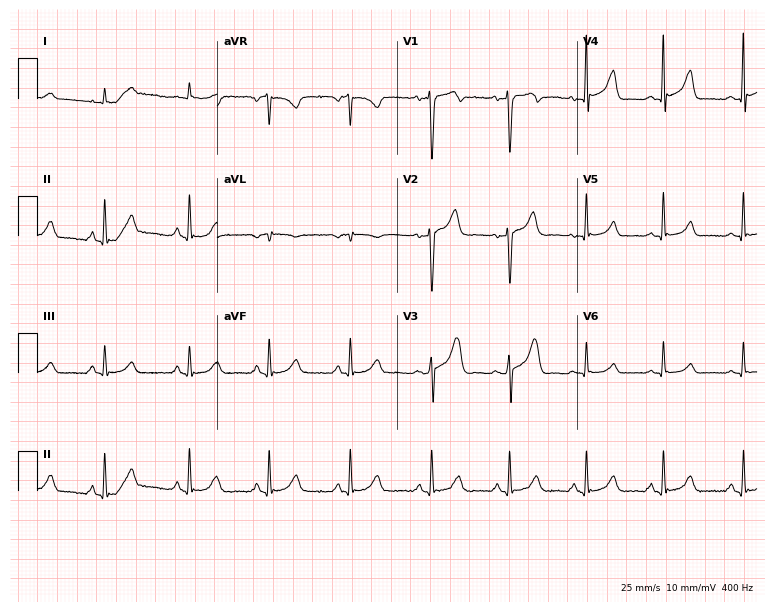
Standard 12-lead ECG recorded from a 43-year-old male patient (7.3-second recording at 400 Hz). None of these six findings is recorded: first-degree AV block, right bundle branch block, left bundle branch block, sinus bradycardia, atrial fibrillation, sinus tachycardia. Findings outside these six are not listed.